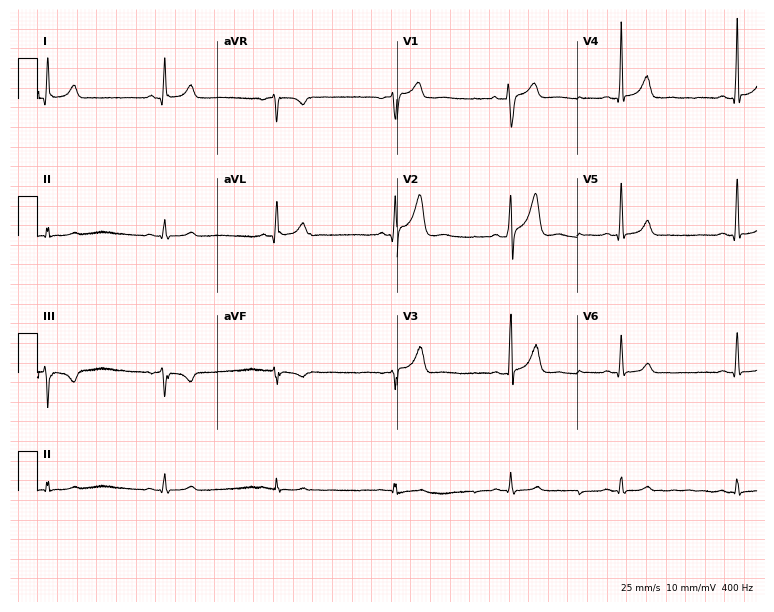
12-lead ECG from a man, 29 years old. No first-degree AV block, right bundle branch block (RBBB), left bundle branch block (LBBB), sinus bradycardia, atrial fibrillation (AF) or sinus tachycardia recorded for this tracing.